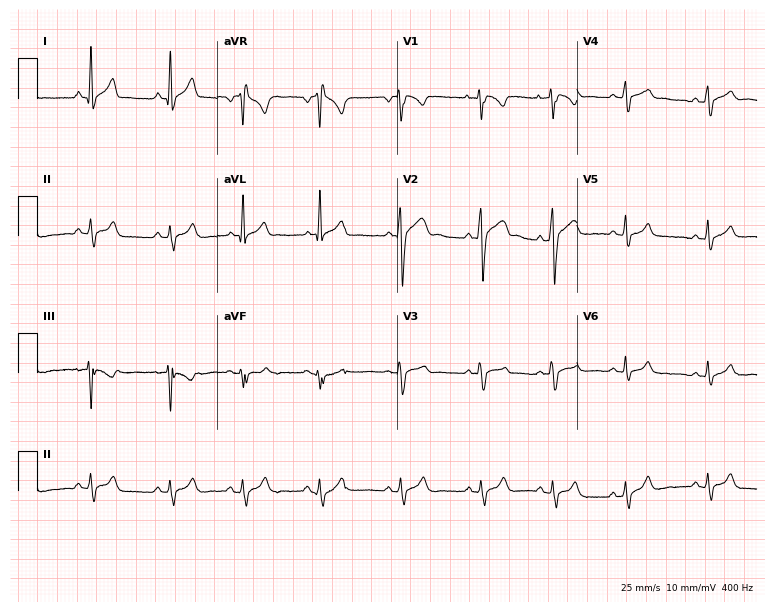
ECG (7.3-second recording at 400 Hz) — a 24-year-old man. Labelled as a normal ECG.